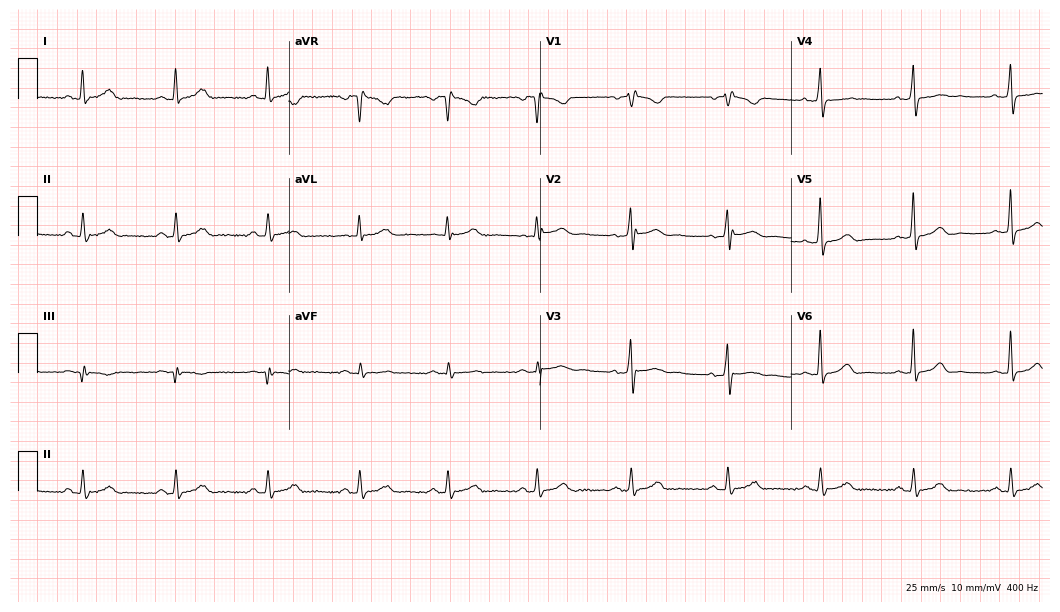
12-lead ECG from a female, 49 years old. Screened for six findings — first-degree AV block, right bundle branch block, left bundle branch block, sinus bradycardia, atrial fibrillation, sinus tachycardia — none is recorded. Other findings, if any, are not listed.